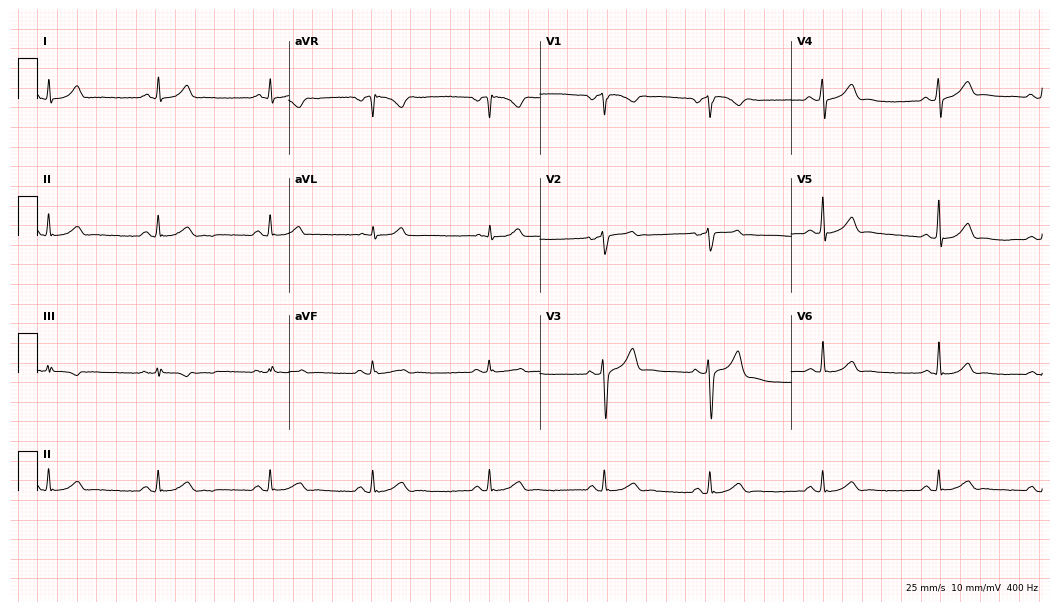
12-lead ECG from a 42-year-old man. Recorded interpretation: within normal limits.